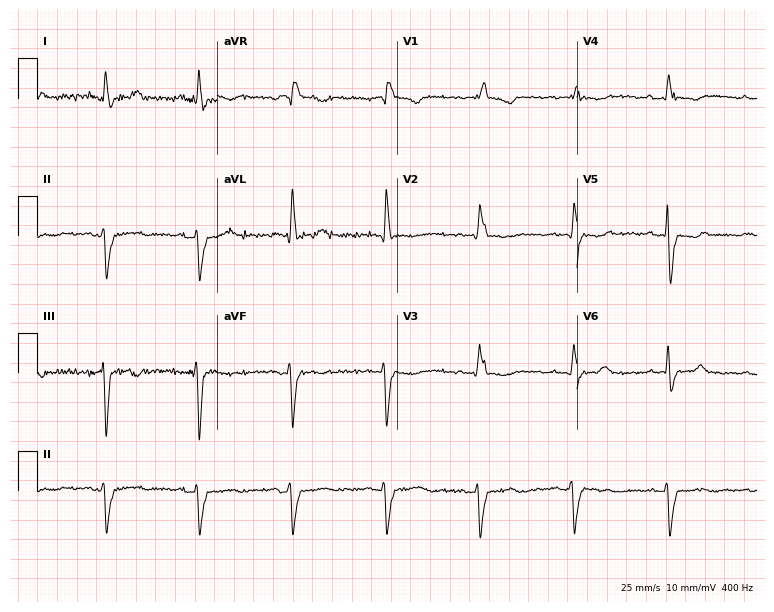
Resting 12-lead electrocardiogram (7.3-second recording at 400 Hz). Patient: a female, 60 years old. The tracing shows right bundle branch block.